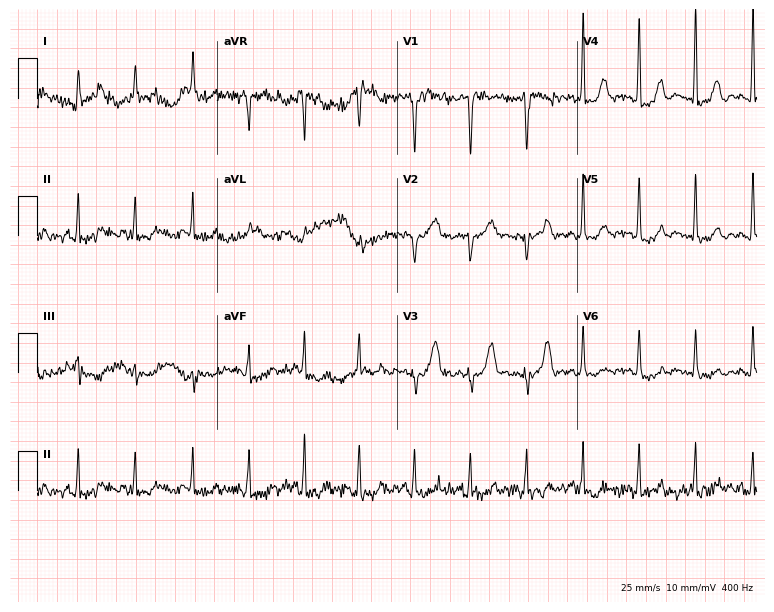
Resting 12-lead electrocardiogram. Patient: a female, 43 years old. None of these six findings is recorded: first-degree AV block, right bundle branch block (RBBB), left bundle branch block (LBBB), sinus bradycardia, atrial fibrillation (AF), sinus tachycardia.